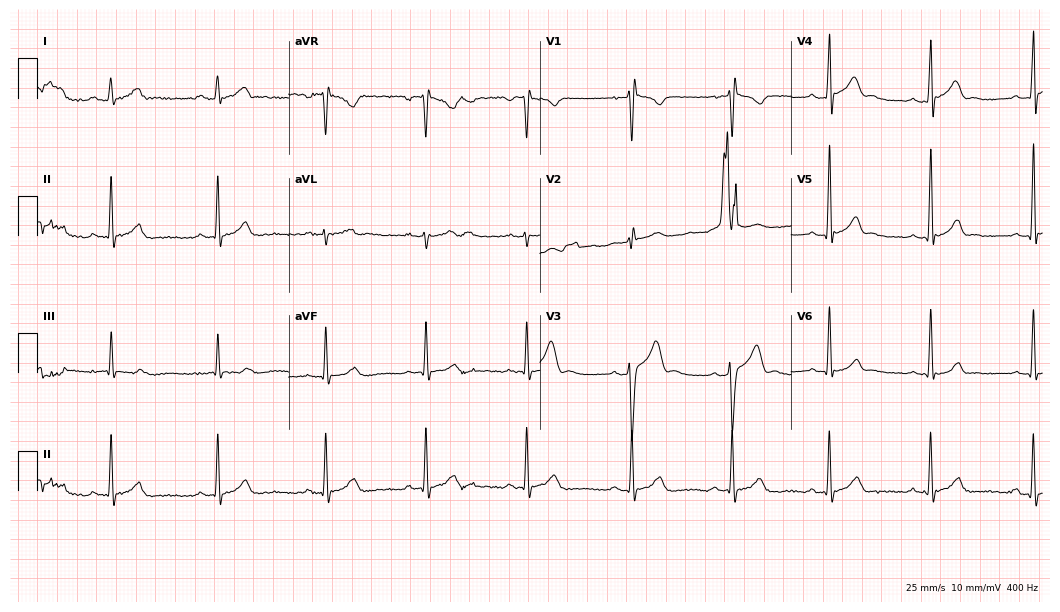
ECG — a 22-year-old male. Screened for six findings — first-degree AV block, right bundle branch block, left bundle branch block, sinus bradycardia, atrial fibrillation, sinus tachycardia — none is recorded. Only these six findings were labelled.